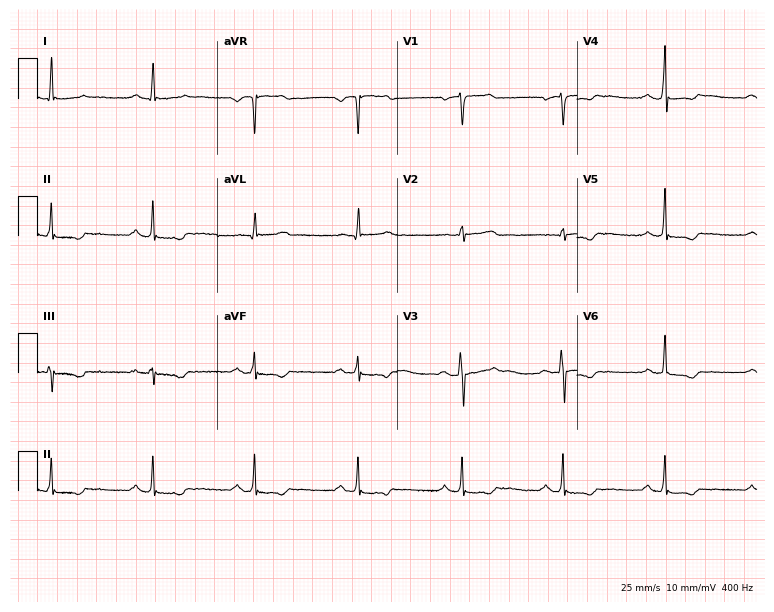
Standard 12-lead ECG recorded from a male patient, 56 years old (7.3-second recording at 400 Hz). None of these six findings is recorded: first-degree AV block, right bundle branch block, left bundle branch block, sinus bradycardia, atrial fibrillation, sinus tachycardia.